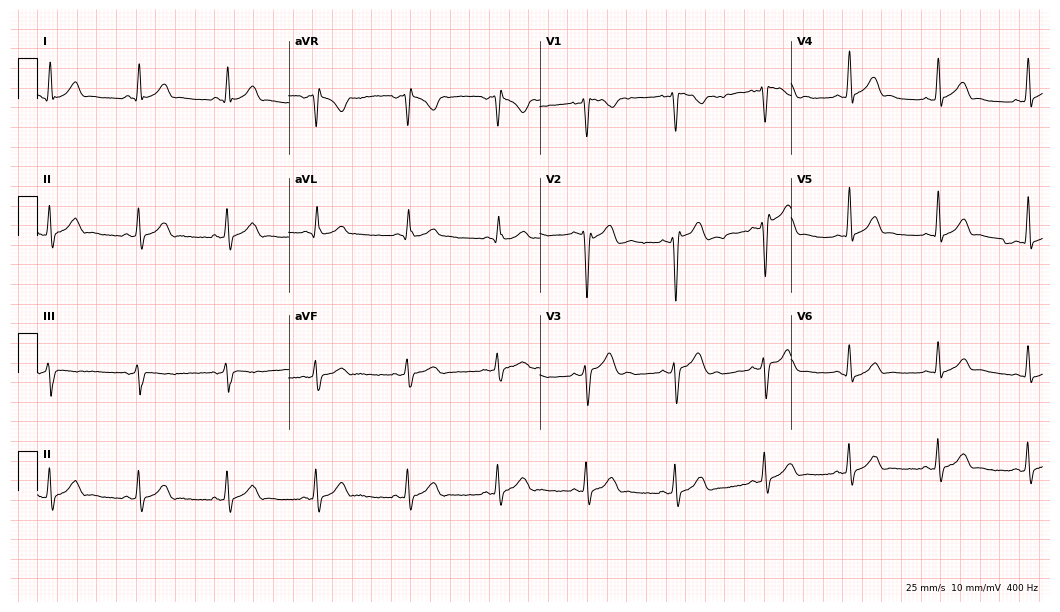
12-lead ECG from a 25-year-old male. No first-degree AV block, right bundle branch block, left bundle branch block, sinus bradycardia, atrial fibrillation or sinus tachycardia recorded for this tracing.